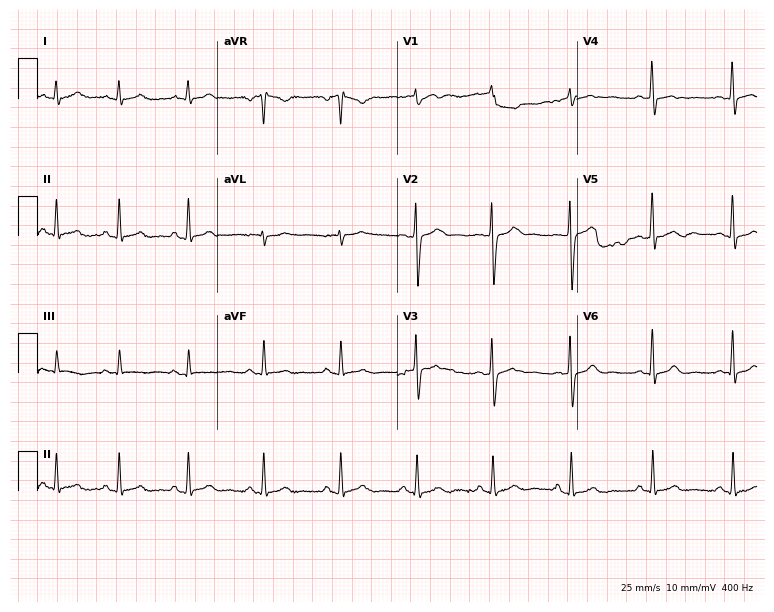
12-lead ECG from a female, 28 years old. No first-degree AV block, right bundle branch block, left bundle branch block, sinus bradycardia, atrial fibrillation or sinus tachycardia recorded for this tracing.